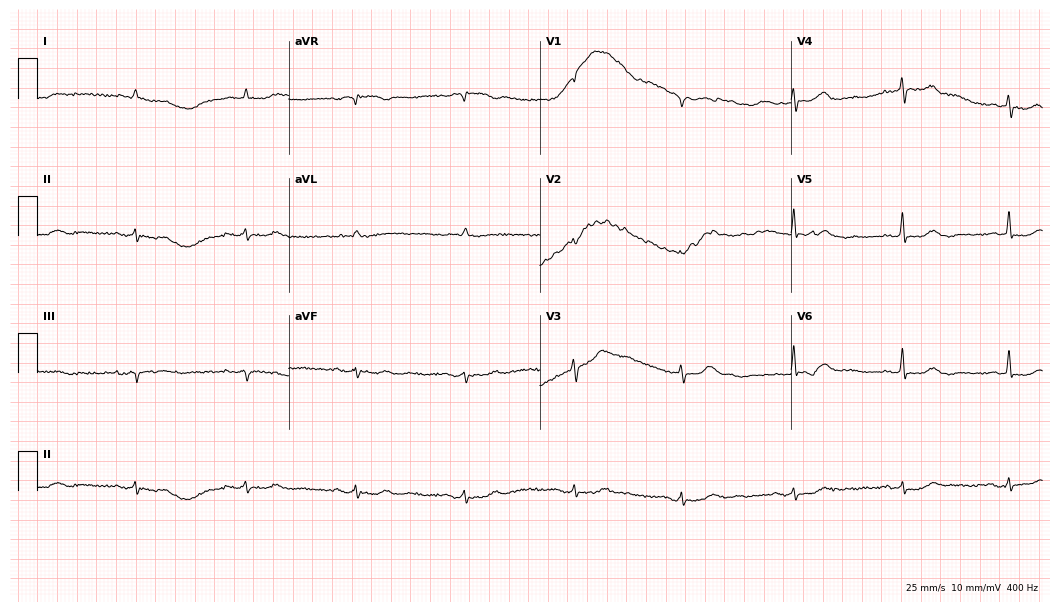
12-lead ECG (10.2-second recording at 400 Hz) from an 81-year-old man. Screened for six findings — first-degree AV block, right bundle branch block, left bundle branch block, sinus bradycardia, atrial fibrillation, sinus tachycardia — none is recorded. Findings outside these six are not listed.